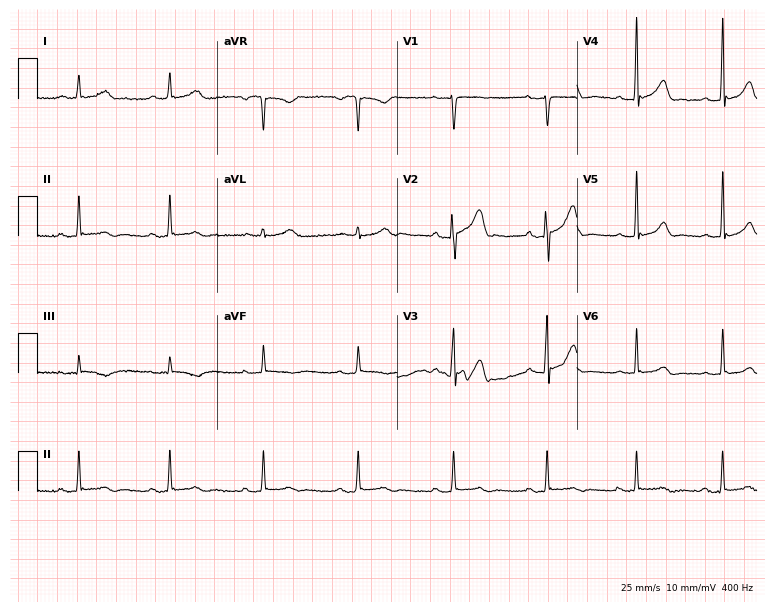
12-lead ECG from a 43-year-old male (7.3-second recording at 400 Hz). No first-degree AV block, right bundle branch block, left bundle branch block, sinus bradycardia, atrial fibrillation or sinus tachycardia recorded for this tracing. Findings outside these six are not listed.